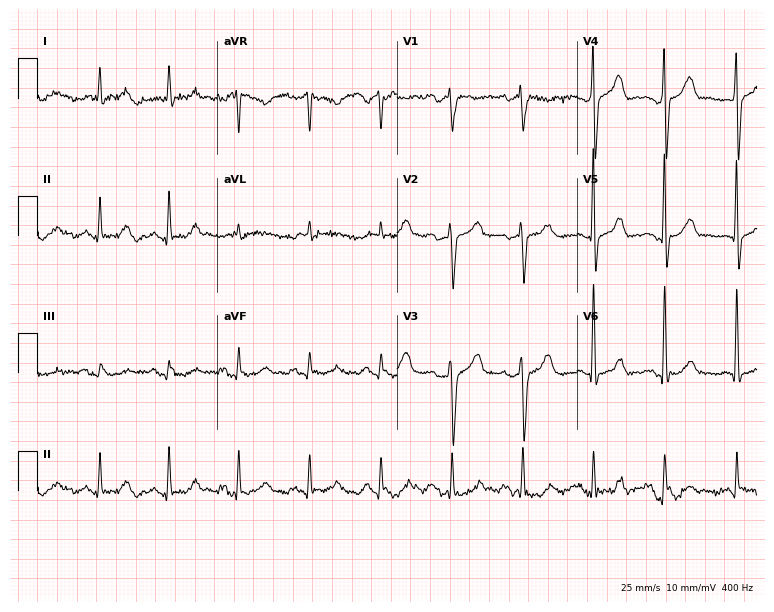
12-lead ECG from an 80-year-old male patient. No first-degree AV block, right bundle branch block (RBBB), left bundle branch block (LBBB), sinus bradycardia, atrial fibrillation (AF) or sinus tachycardia recorded for this tracing.